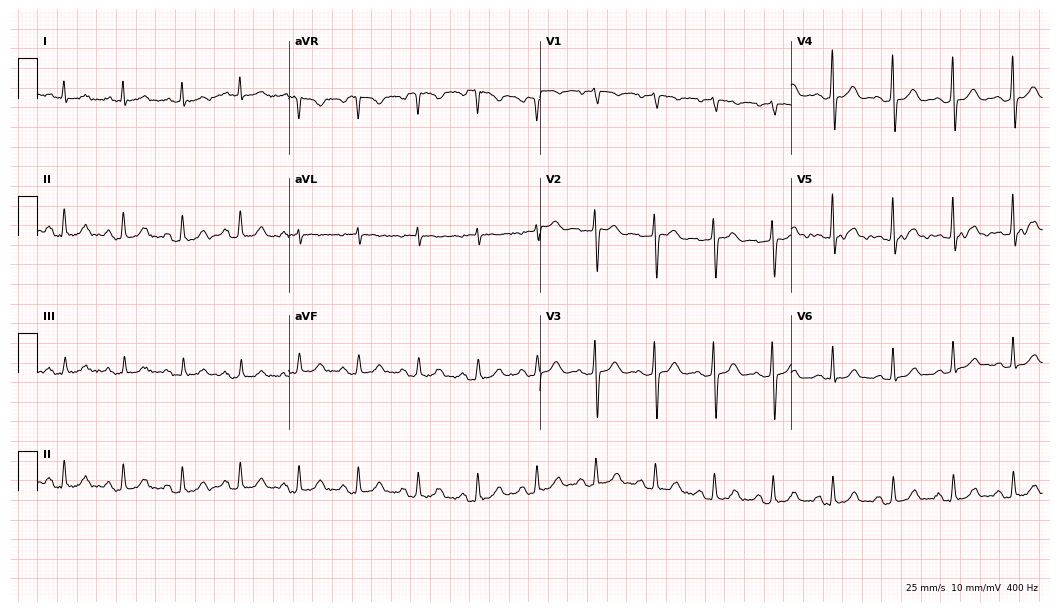
Standard 12-lead ECG recorded from a 68-year-old female patient. None of these six findings is recorded: first-degree AV block, right bundle branch block (RBBB), left bundle branch block (LBBB), sinus bradycardia, atrial fibrillation (AF), sinus tachycardia.